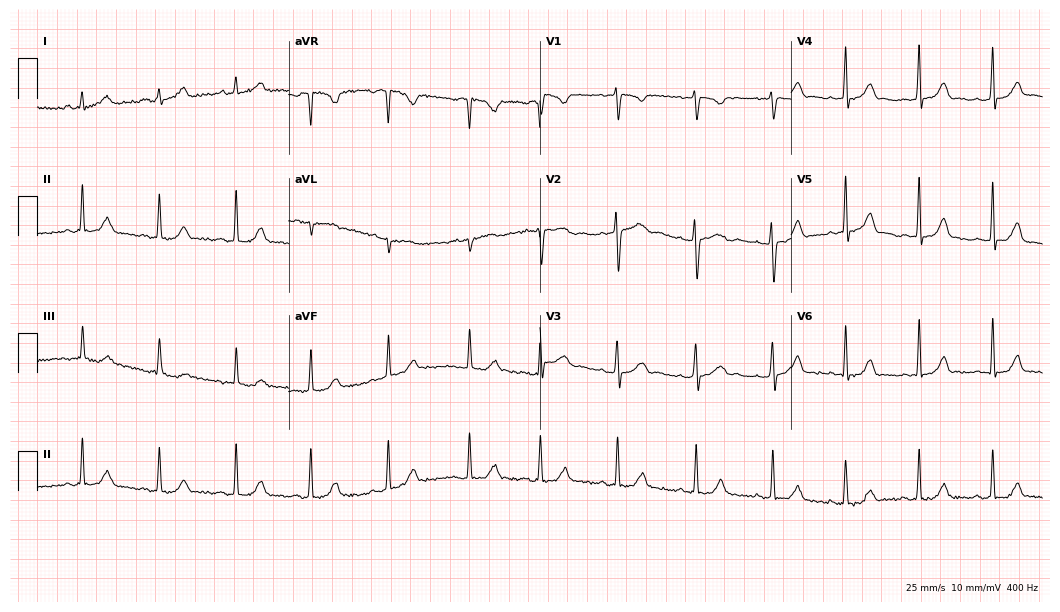
Electrocardiogram, a 22-year-old female. Overall reading on record: normal ECG.